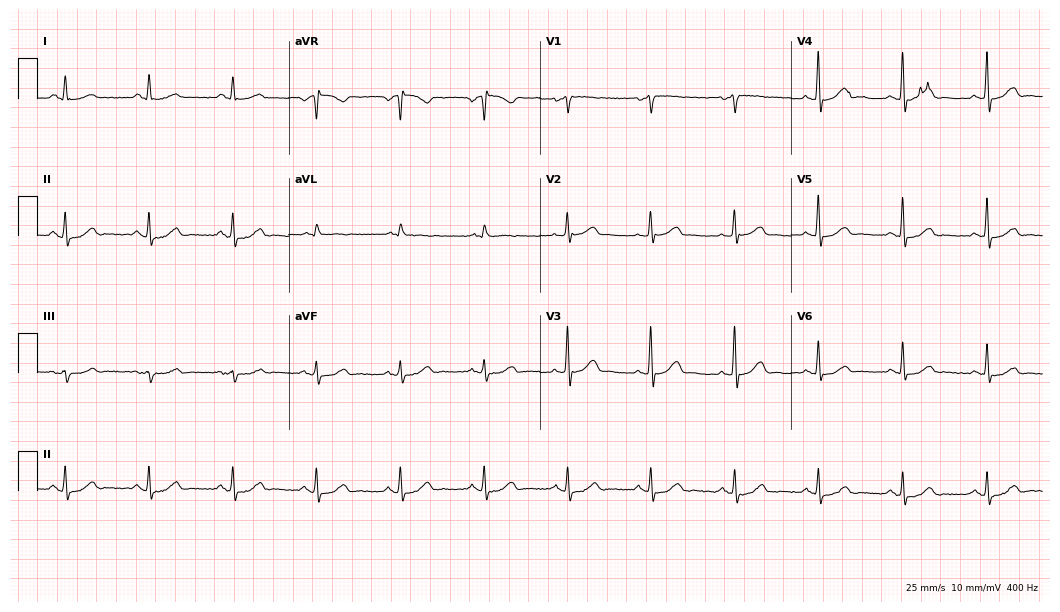
12-lead ECG (10.2-second recording at 400 Hz) from a man, 61 years old. Labelled as a normal ECG.